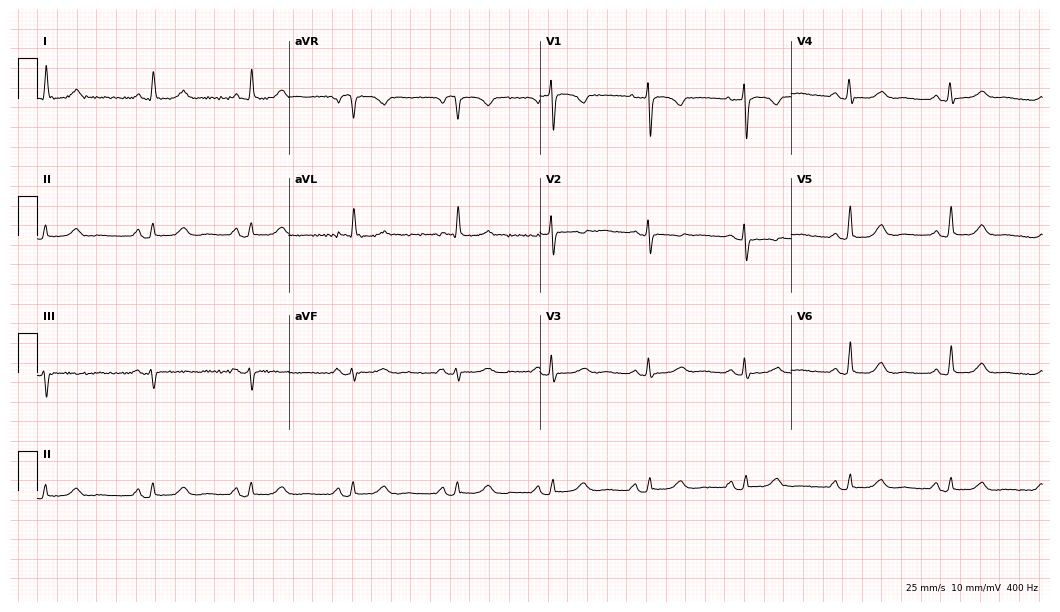
Standard 12-lead ECG recorded from a woman, 77 years old (10.2-second recording at 400 Hz). Read as a normal ECG.